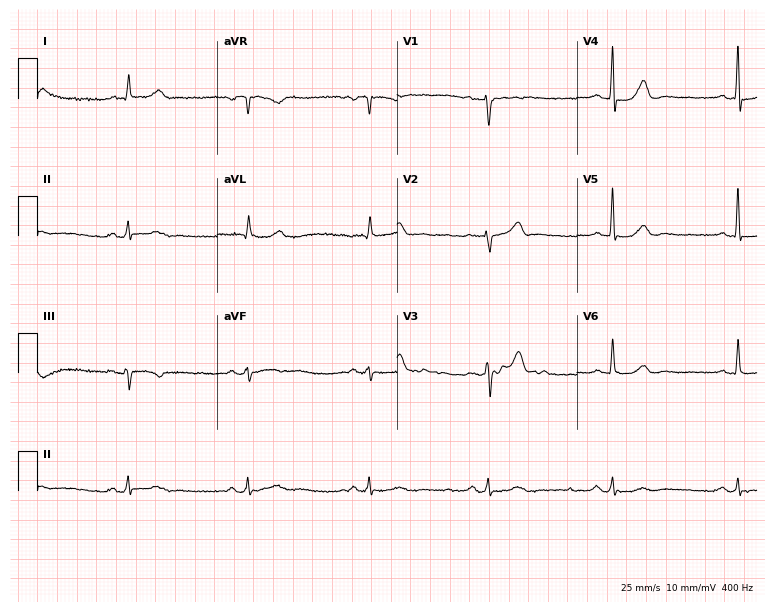
Electrocardiogram (7.3-second recording at 400 Hz), a 78-year-old male patient. Interpretation includes sinus bradycardia (a sinus rate of 50 beats per minute or less).